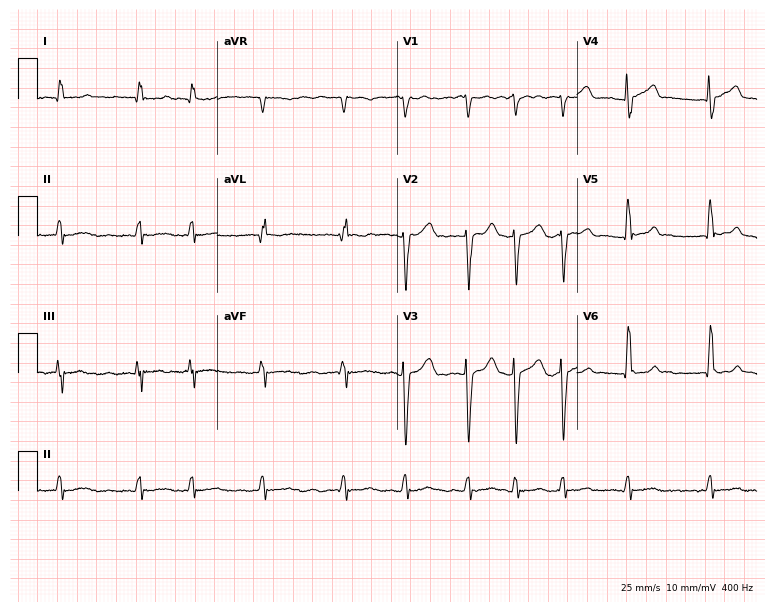
Electrocardiogram, a woman, 56 years old. Of the six screened findings (first-degree AV block, right bundle branch block, left bundle branch block, sinus bradycardia, atrial fibrillation, sinus tachycardia), none is recorded.